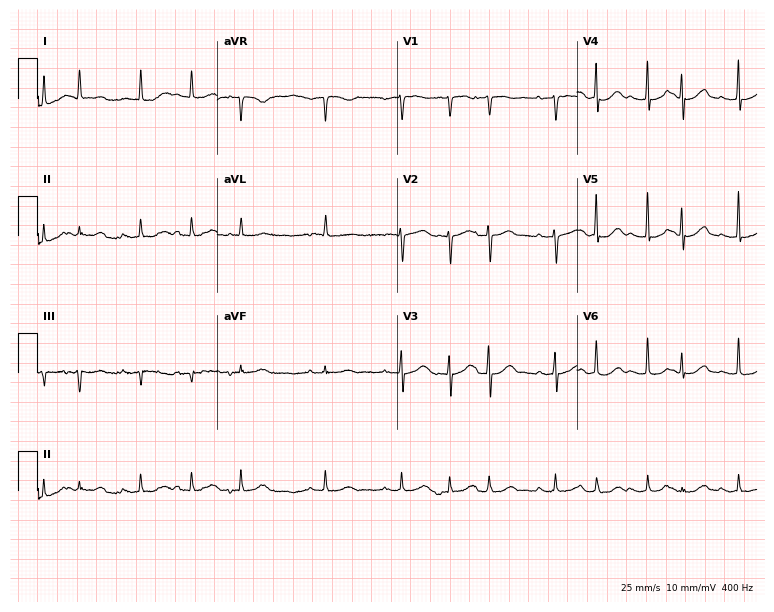
Electrocardiogram (7.3-second recording at 400 Hz), an 84-year-old female. Interpretation includes sinus tachycardia (a sinus rate of 100 beats per minute or more).